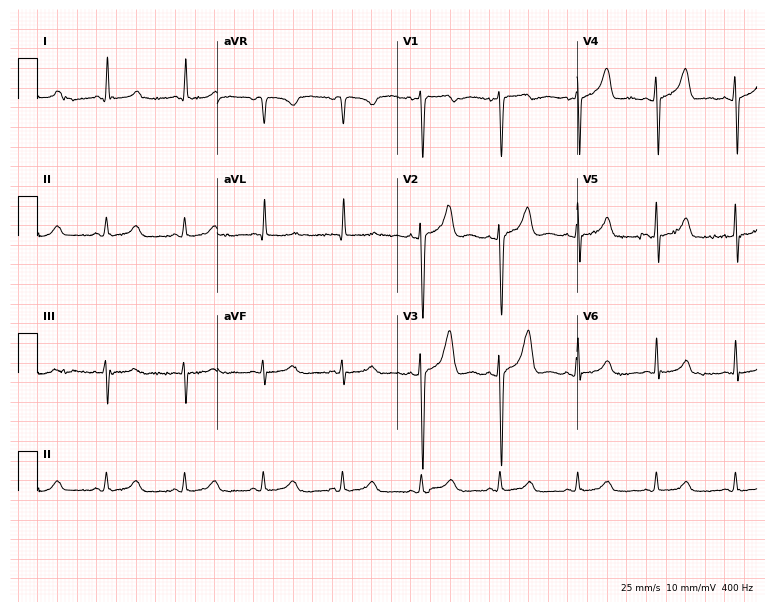
12-lead ECG from a 48-year-old male patient (7.3-second recording at 400 Hz). No first-degree AV block, right bundle branch block, left bundle branch block, sinus bradycardia, atrial fibrillation or sinus tachycardia recorded for this tracing. Findings outside these six are not listed.